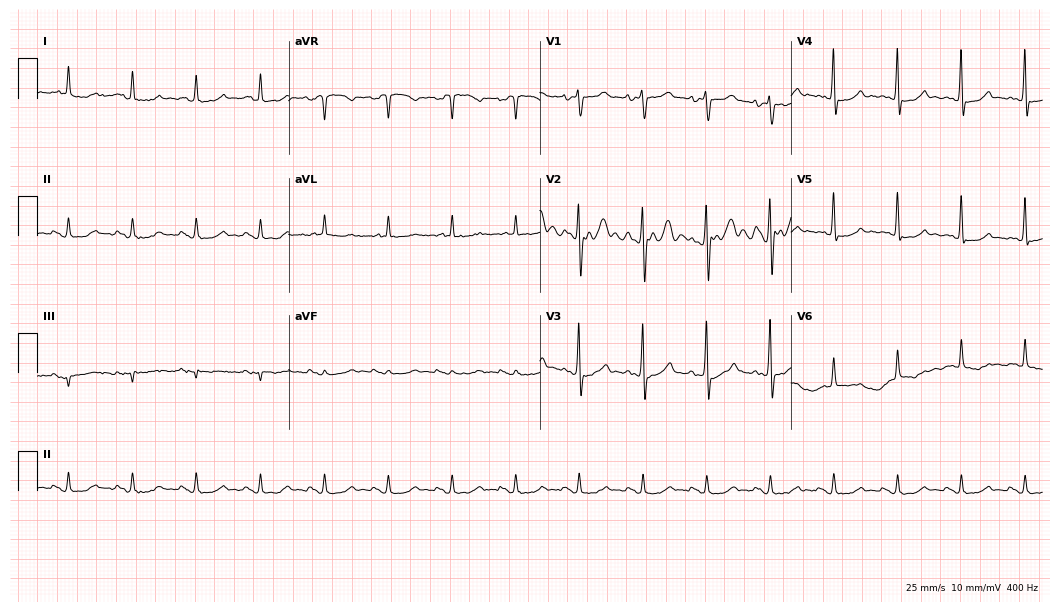
12-lead ECG from a 71-year-old female patient (10.2-second recording at 400 Hz). No first-degree AV block, right bundle branch block, left bundle branch block, sinus bradycardia, atrial fibrillation or sinus tachycardia recorded for this tracing. Findings outside these six are not listed.